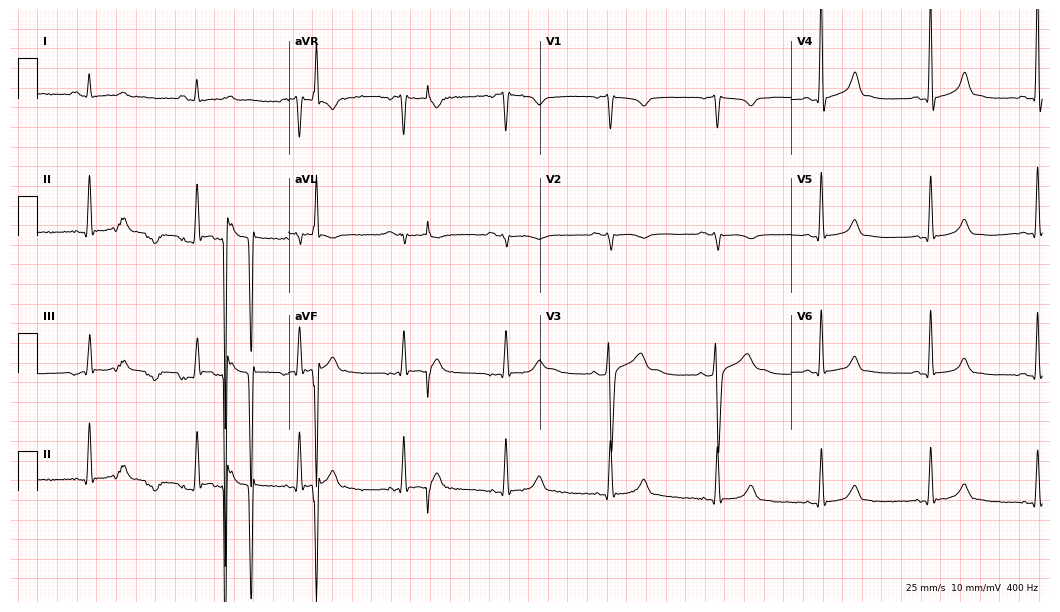
Electrocardiogram, a male patient, 29 years old. Of the six screened findings (first-degree AV block, right bundle branch block, left bundle branch block, sinus bradycardia, atrial fibrillation, sinus tachycardia), none is recorded.